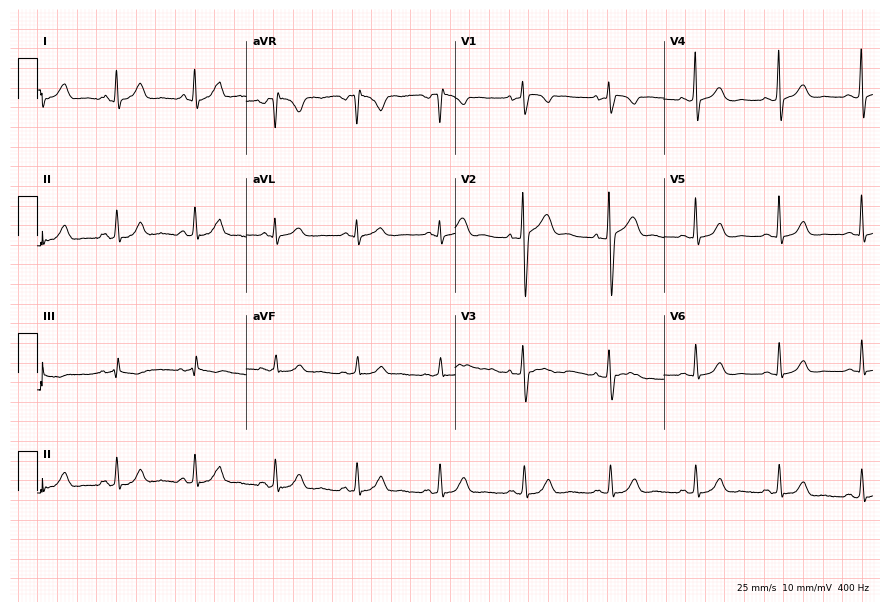
12-lead ECG from a 37-year-old male patient. Labelled as a normal ECG.